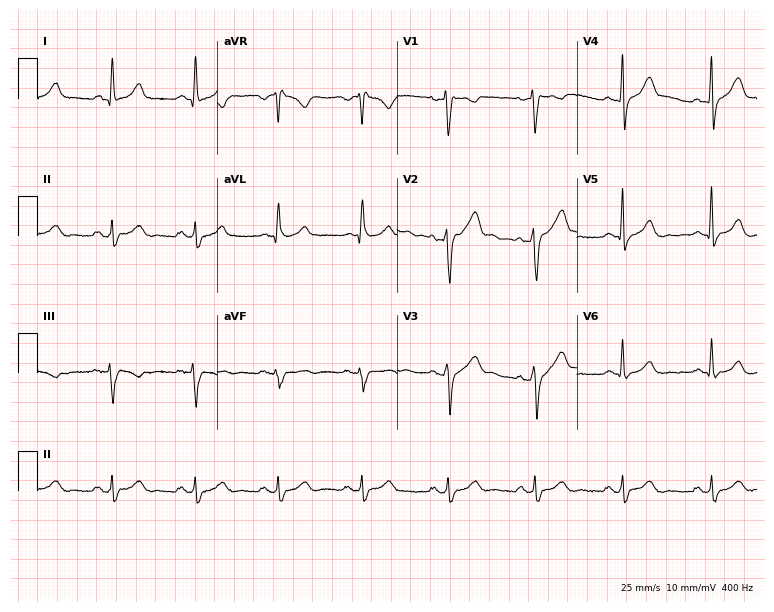
Standard 12-lead ECG recorded from a man, 44 years old. None of these six findings is recorded: first-degree AV block, right bundle branch block (RBBB), left bundle branch block (LBBB), sinus bradycardia, atrial fibrillation (AF), sinus tachycardia.